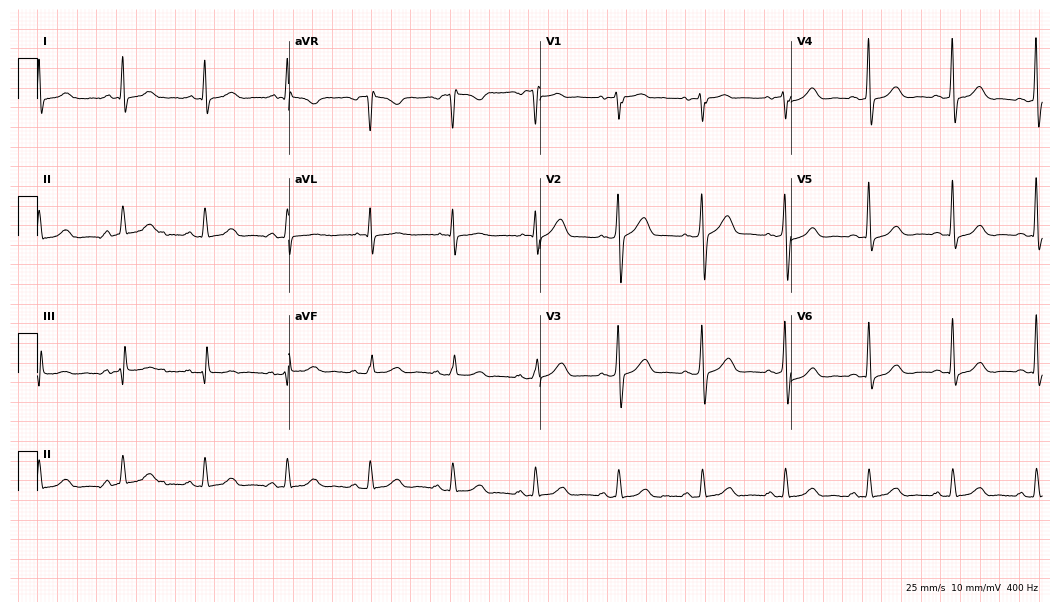
Electrocardiogram (10.2-second recording at 400 Hz), a 50-year-old male. Overall reading on record: normal ECG.